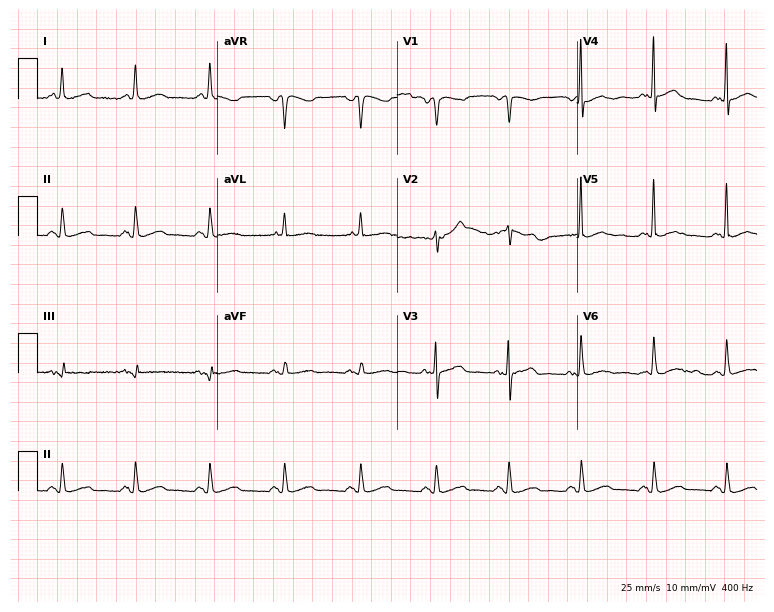
Standard 12-lead ECG recorded from a 56-year-old female. None of these six findings is recorded: first-degree AV block, right bundle branch block, left bundle branch block, sinus bradycardia, atrial fibrillation, sinus tachycardia. Findings outside these six are not listed.